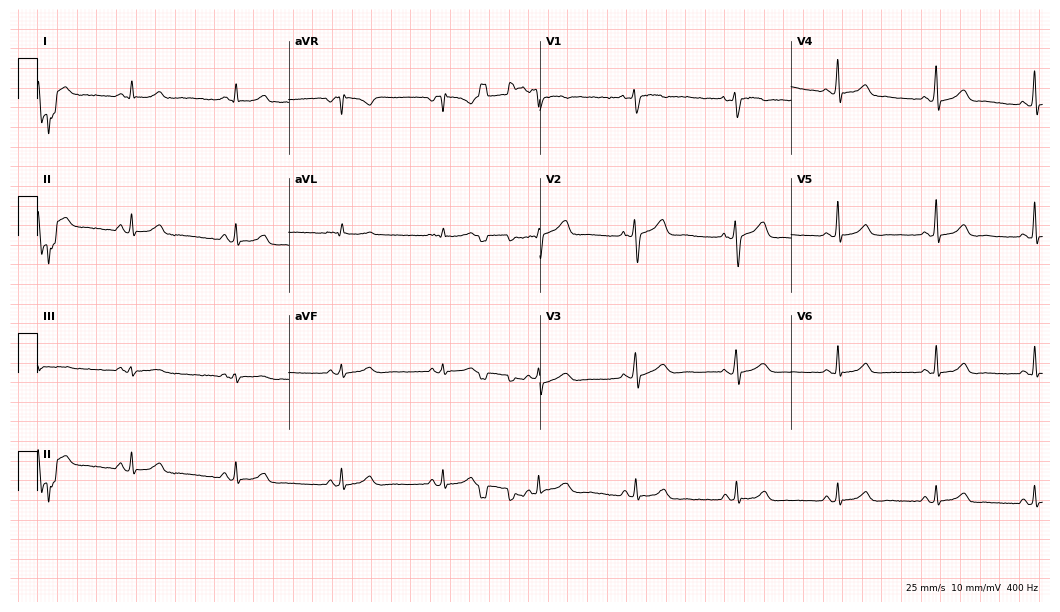
12-lead ECG from a 45-year-old female. Labelled as a normal ECG.